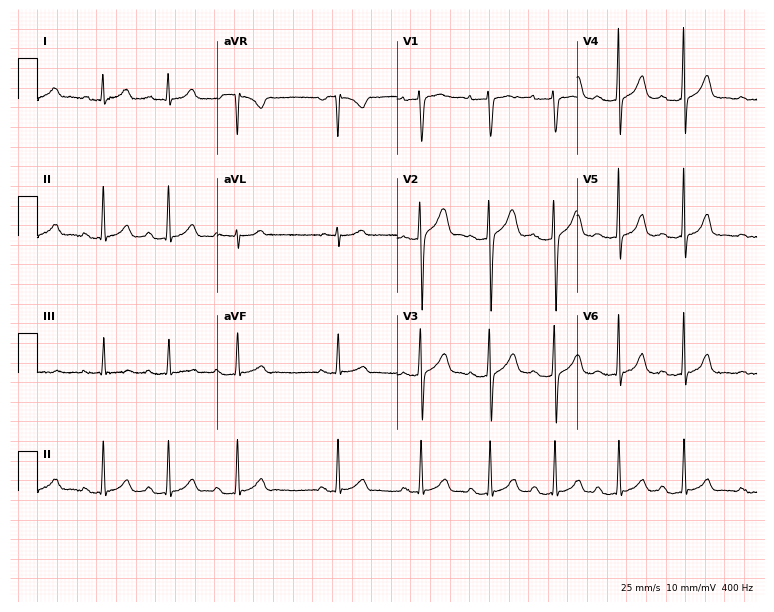
12-lead ECG from a 19-year-old female patient. Recorded interpretation: within normal limits.